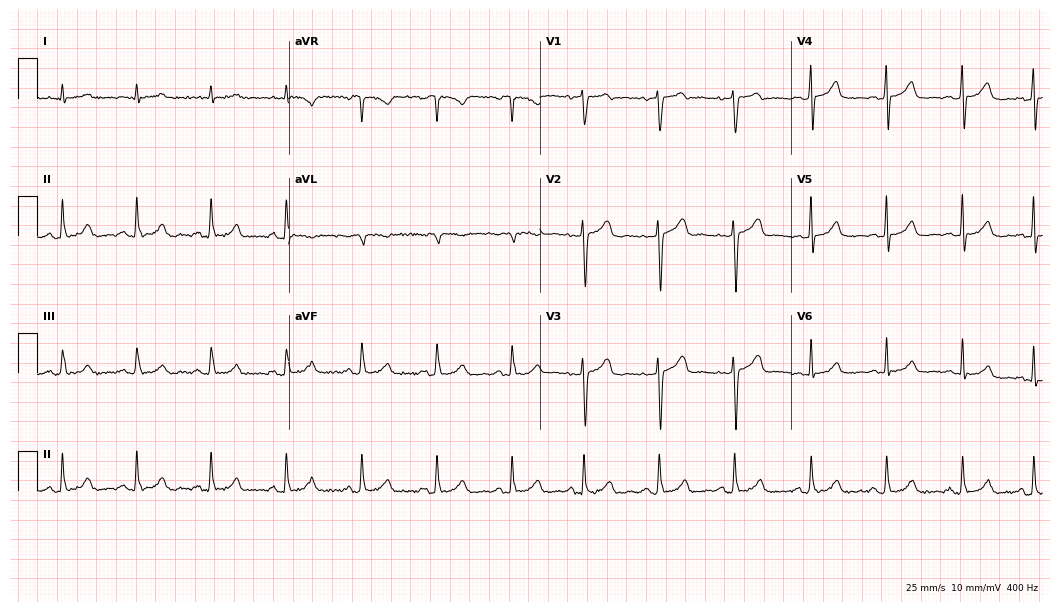
12-lead ECG from a woman, 81 years old. Labelled as a normal ECG.